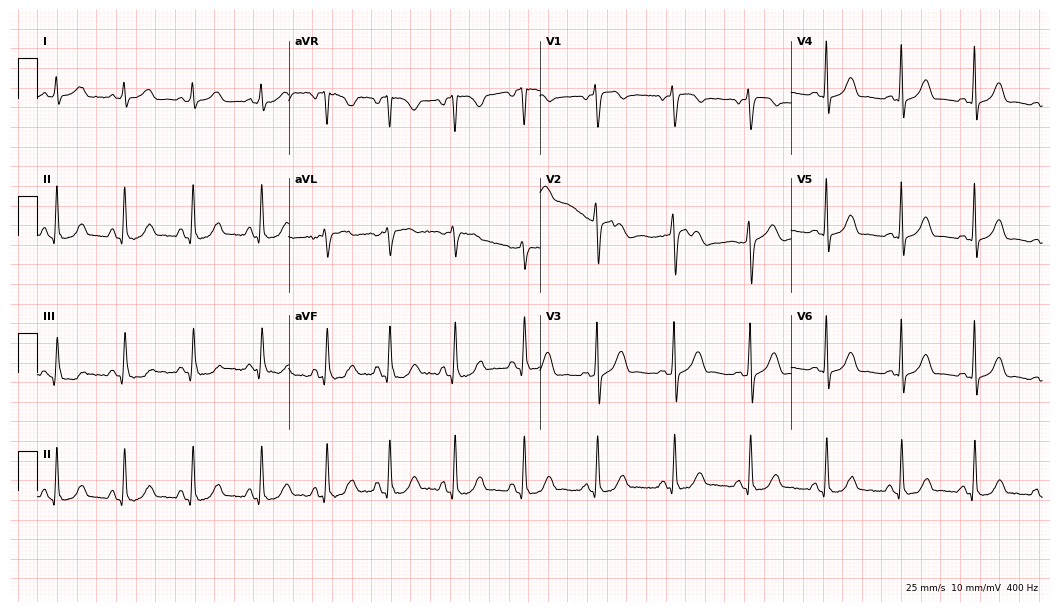
12-lead ECG (10.2-second recording at 400 Hz) from a 48-year-old female. Labelled as a normal ECG.